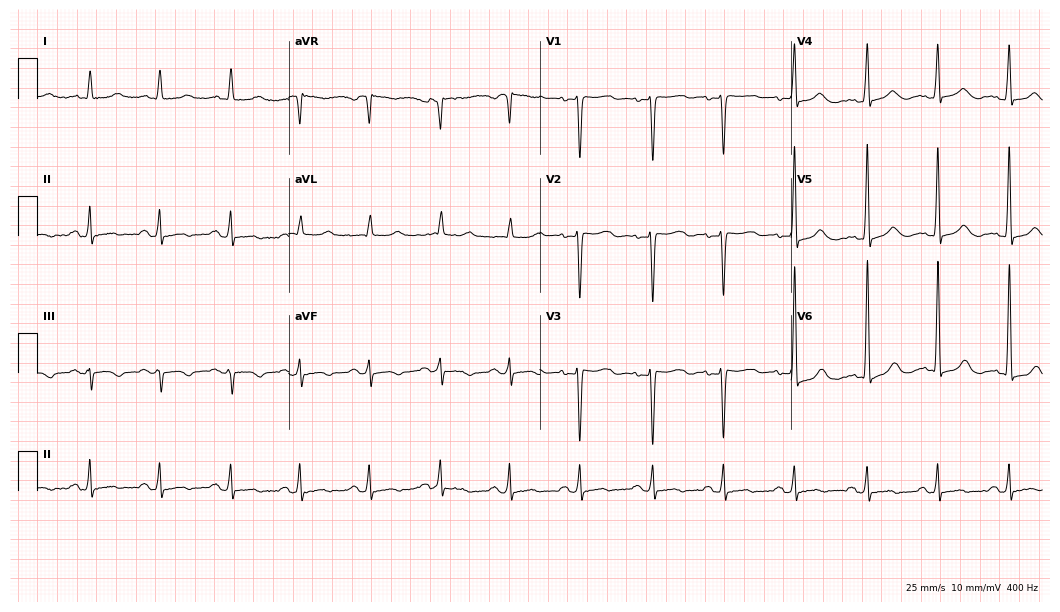
Electrocardiogram (10.2-second recording at 400 Hz), a 37-year-old woman. Of the six screened findings (first-degree AV block, right bundle branch block, left bundle branch block, sinus bradycardia, atrial fibrillation, sinus tachycardia), none is recorded.